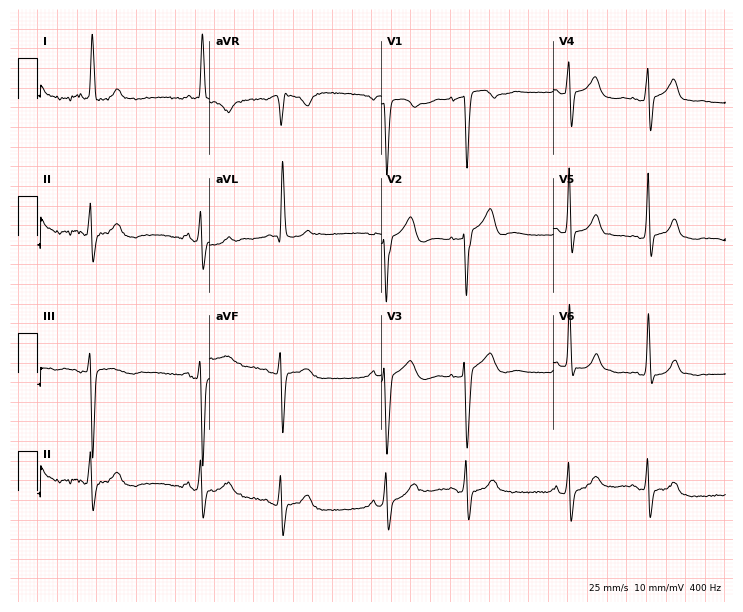
ECG (7-second recording at 400 Hz) — a woman, 82 years old. Screened for six findings — first-degree AV block, right bundle branch block, left bundle branch block, sinus bradycardia, atrial fibrillation, sinus tachycardia — none is recorded.